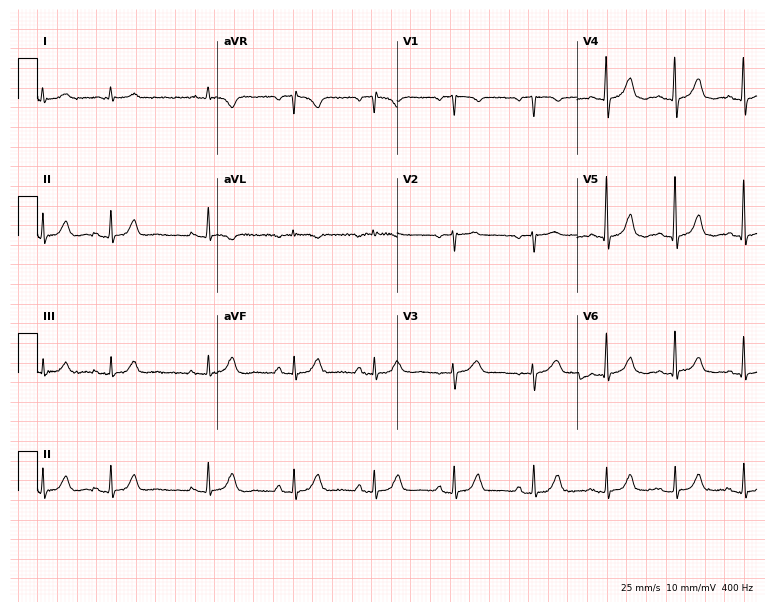
12-lead ECG (7.3-second recording at 400 Hz) from an 83-year-old man. Labelled as a normal ECG.